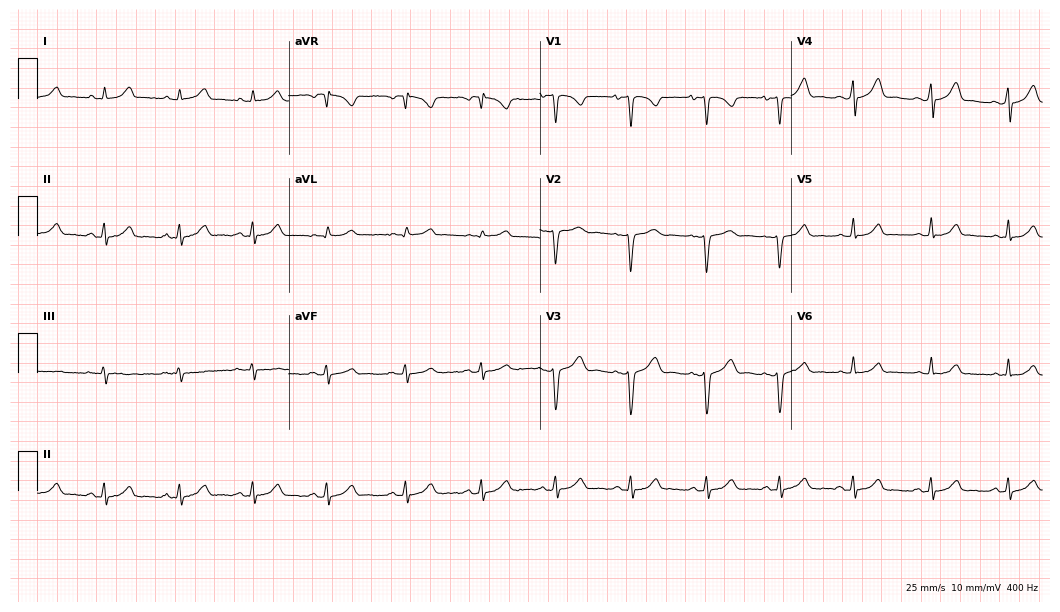
12-lead ECG from a female, 32 years old (10.2-second recording at 400 Hz). Recorded interpretation: within normal limits.